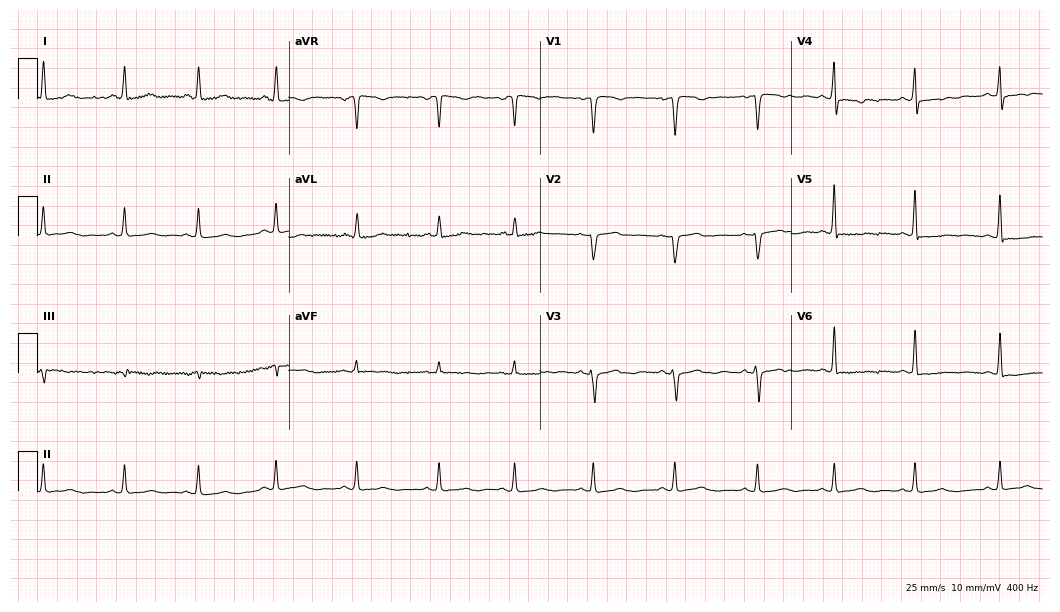
ECG — a woman, 49 years old. Labelled as a normal ECG.